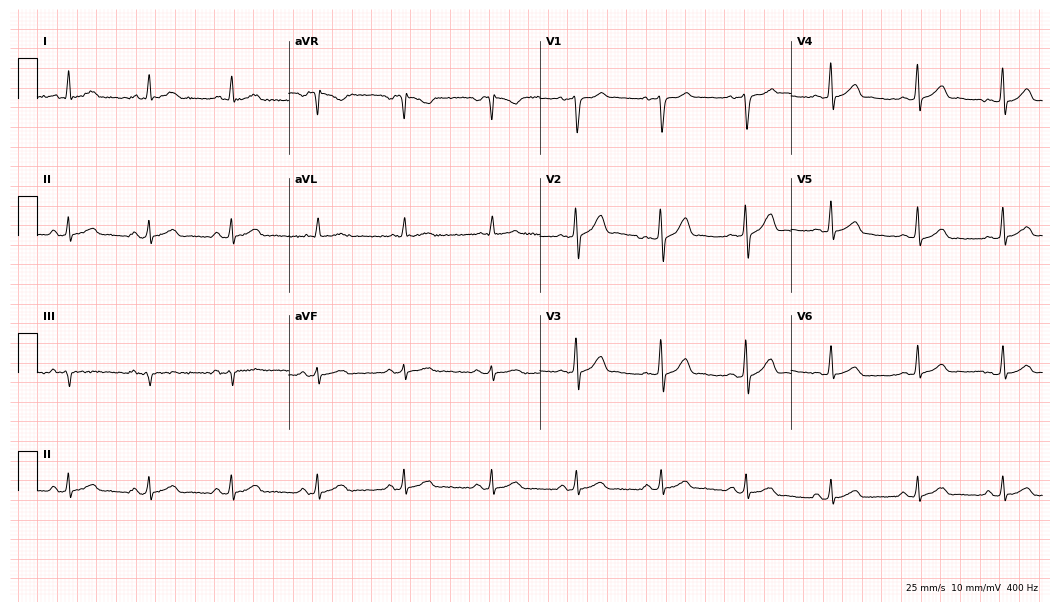
Electrocardiogram (10.2-second recording at 400 Hz), a 30-year-old male. Overall reading on record: normal ECG.